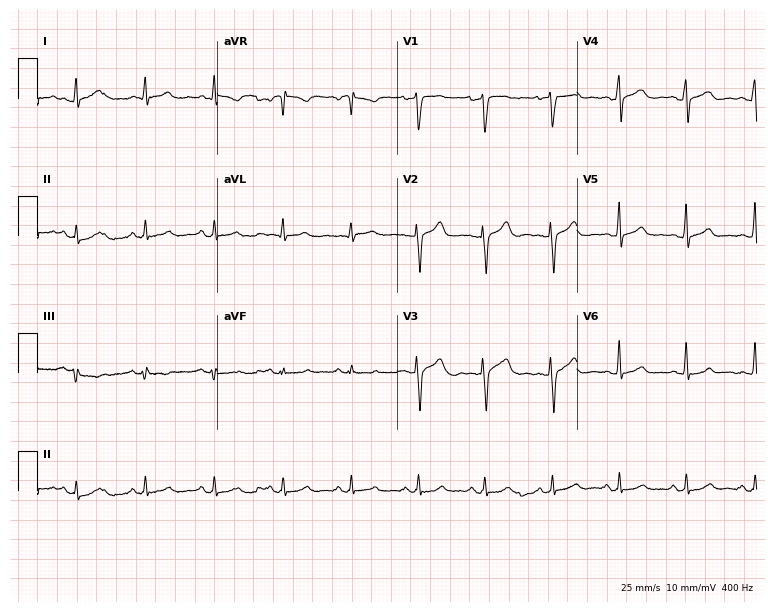
12-lead ECG from a male patient, 34 years old. Labelled as a normal ECG.